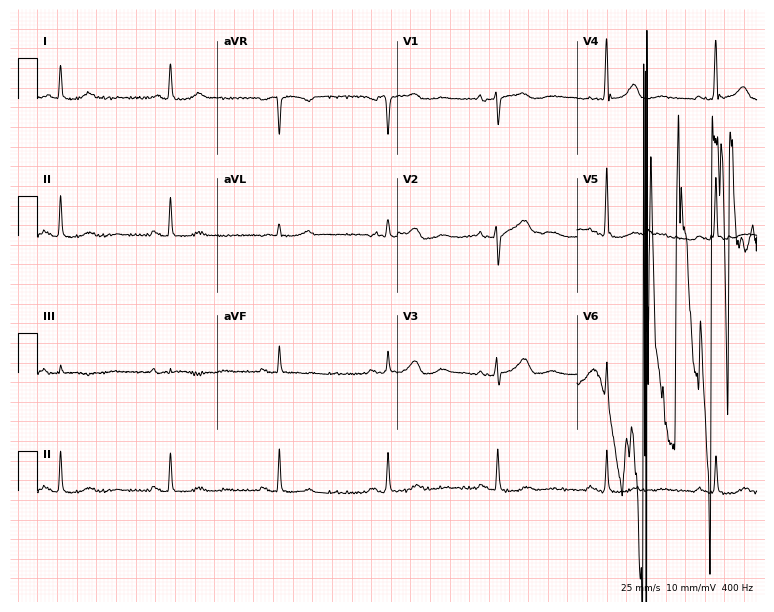
ECG (7.3-second recording at 400 Hz) — a 75-year-old female patient. Screened for six findings — first-degree AV block, right bundle branch block, left bundle branch block, sinus bradycardia, atrial fibrillation, sinus tachycardia — none is recorded. Findings outside these six are not listed.